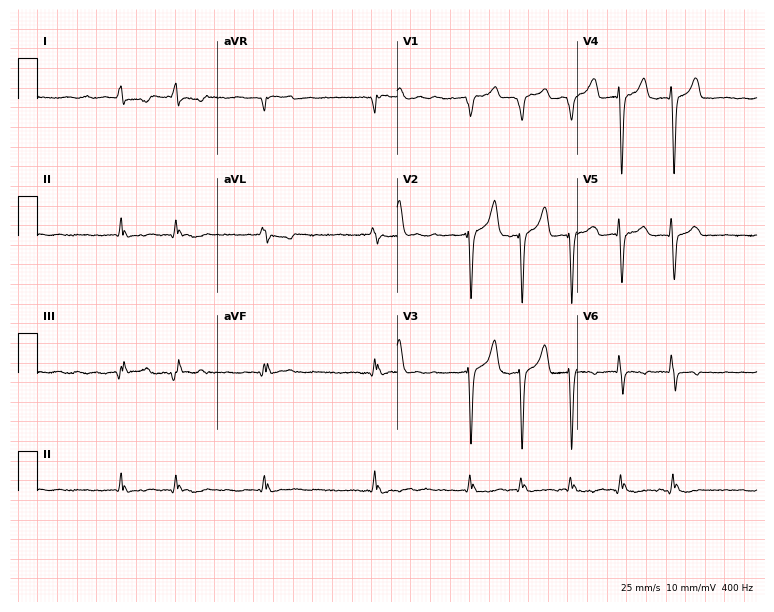
12-lead ECG from a male patient, 76 years old. Findings include atrial fibrillation.